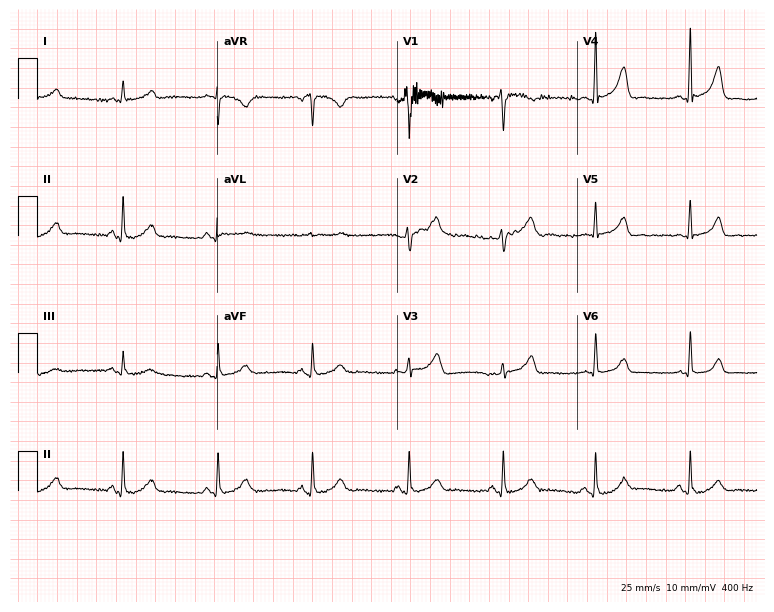
Electrocardiogram (7.3-second recording at 400 Hz), a male patient, 66 years old. Overall reading on record: normal ECG.